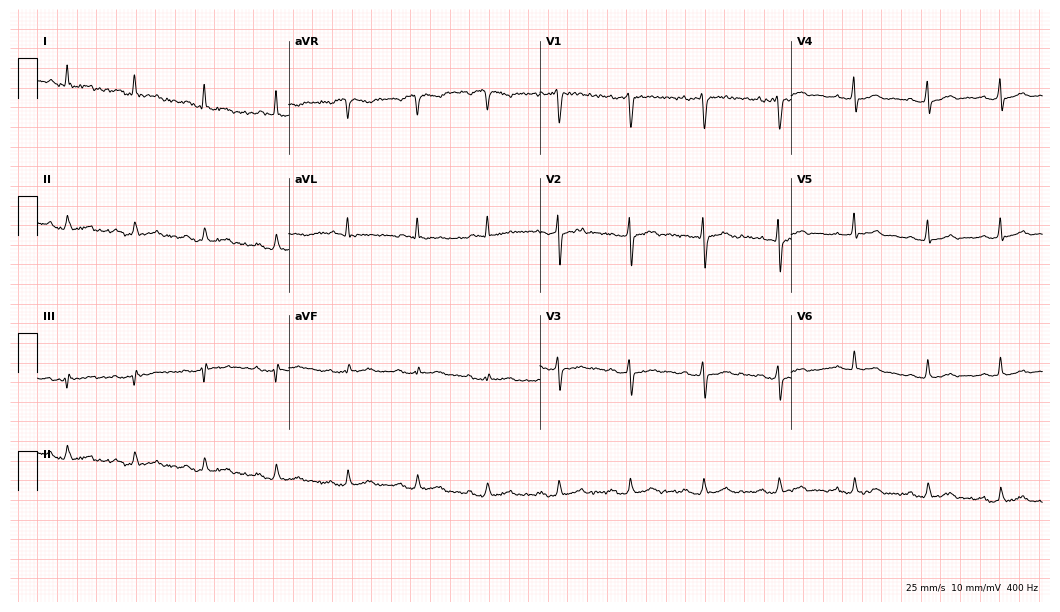
Resting 12-lead electrocardiogram (10.2-second recording at 400 Hz). Patient: a 56-year-old man. None of these six findings is recorded: first-degree AV block, right bundle branch block (RBBB), left bundle branch block (LBBB), sinus bradycardia, atrial fibrillation (AF), sinus tachycardia.